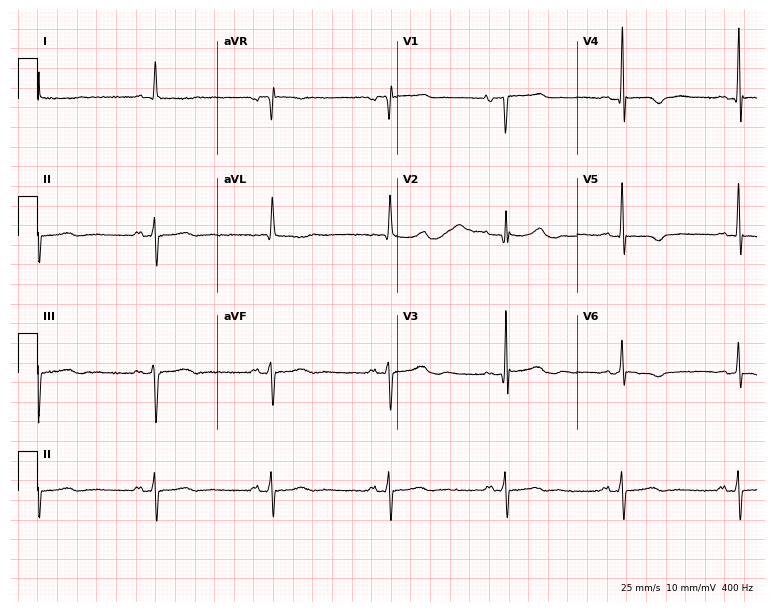
12-lead ECG (7.3-second recording at 400 Hz) from an 85-year-old female. Screened for six findings — first-degree AV block, right bundle branch block (RBBB), left bundle branch block (LBBB), sinus bradycardia, atrial fibrillation (AF), sinus tachycardia — none is recorded. Findings outside these six are not listed.